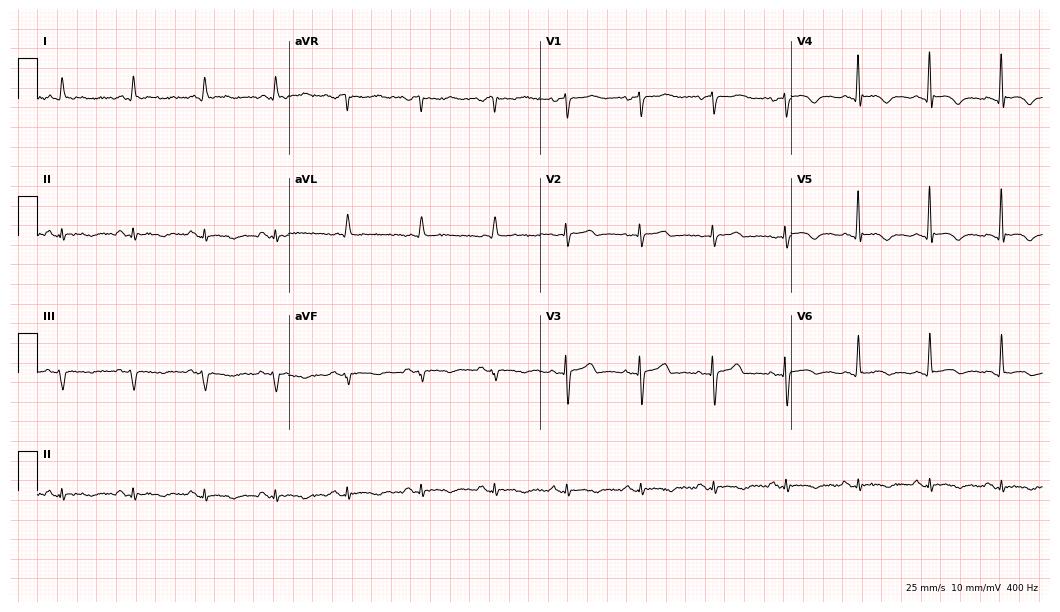
Resting 12-lead electrocardiogram (10.2-second recording at 400 Hz). Patient: a 68-year-old woman. None of these six findings is recorded: first-degree AV block, right bundle branch block, left bundle branch block, sinus bradycardia, atrial fibrillation, sinus tachycardia.